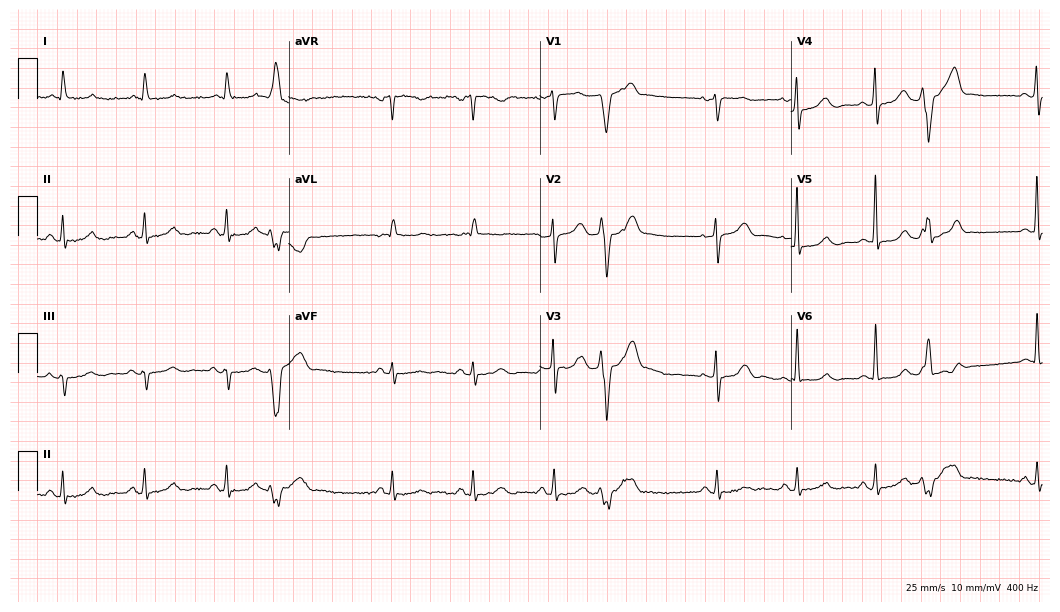
ECG (10.2-second recording at 400 Hz) — a female patient, 76 years old. Screened for six findings — first-degree AV block, right bundle branch block, left bundle branch block, sinus bradycardia, atrial fibrillation, sinus tachycardia — none is recorded.